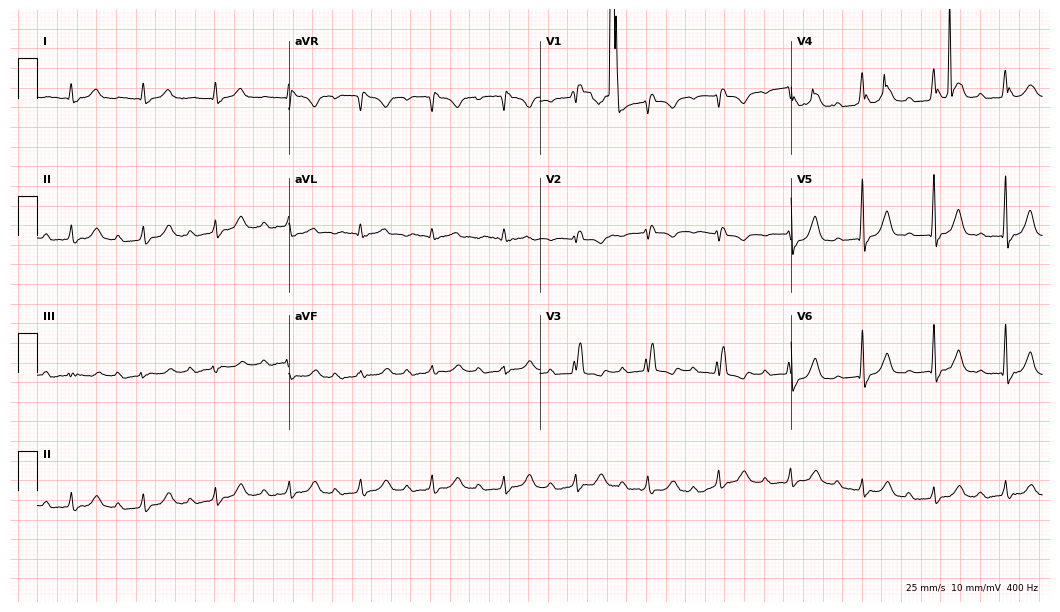
Resting 12-lead electrocardiogram (10.2-second recording at 400 Hz). Patient: a woman, 76 years old. The tracing shows first-degree AV block, right bundle branch block (RBBB).